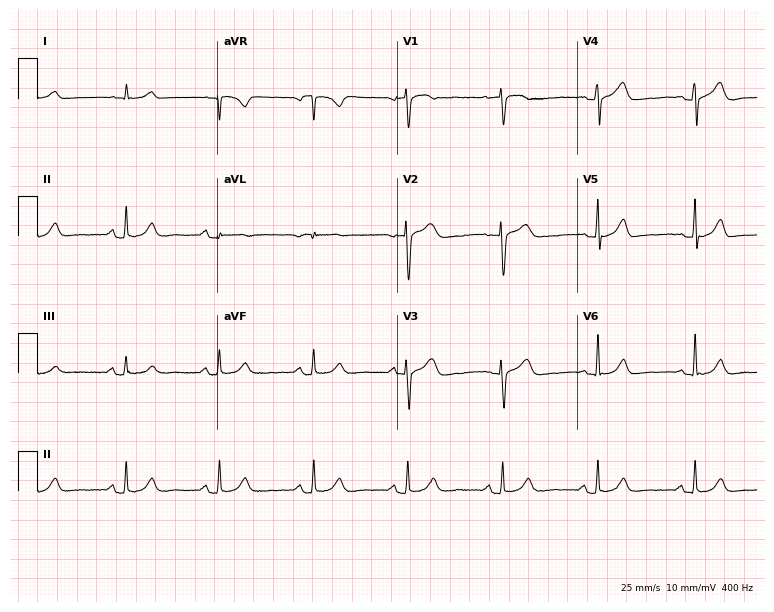
12-lead ECG from a male, 48 years old. Recorded interpretation: within normal limits.